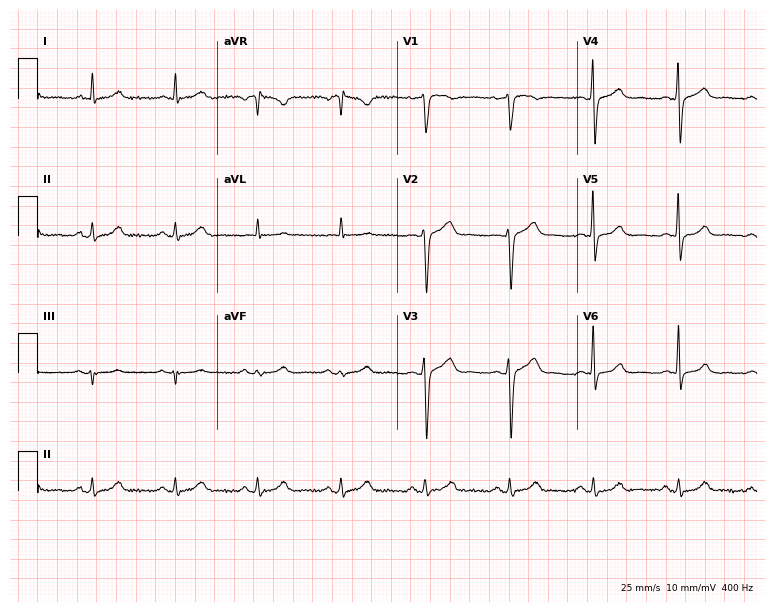
Resting 12-lead electrocardiogram. Patient: a 49-year-old man. Read as a normal ECG.